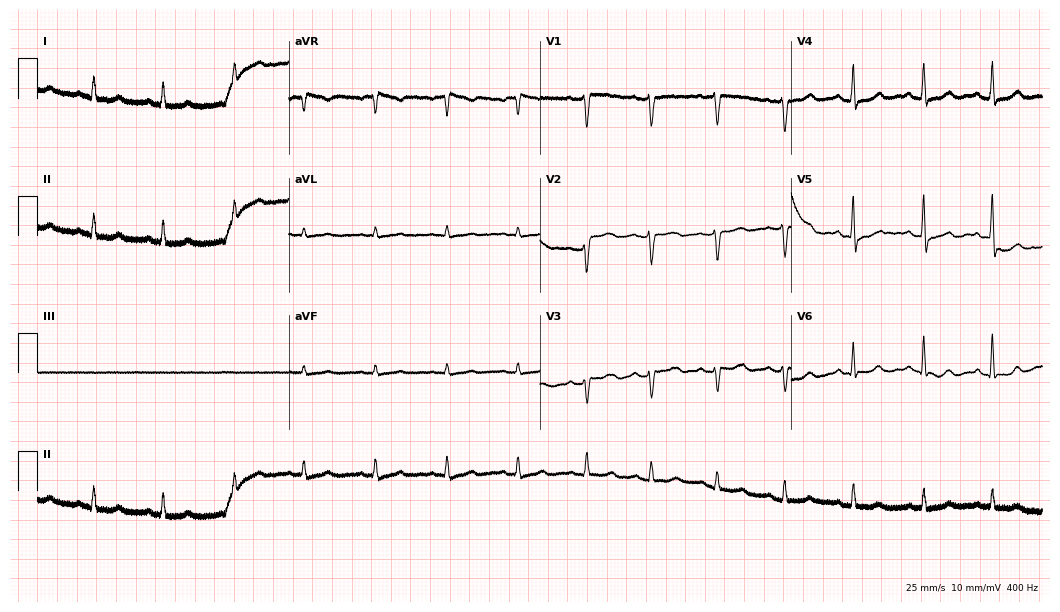
Resting 12-lead electrocardiogram (10.2-second recording at 400 Hz). Patient: a female, 64 years old. None of these six findings is recorded: first-degree AV block, right bundle branch block, left bundle branch block, sinus bradycardia, atrial fibrillation, sinus tachycardia.